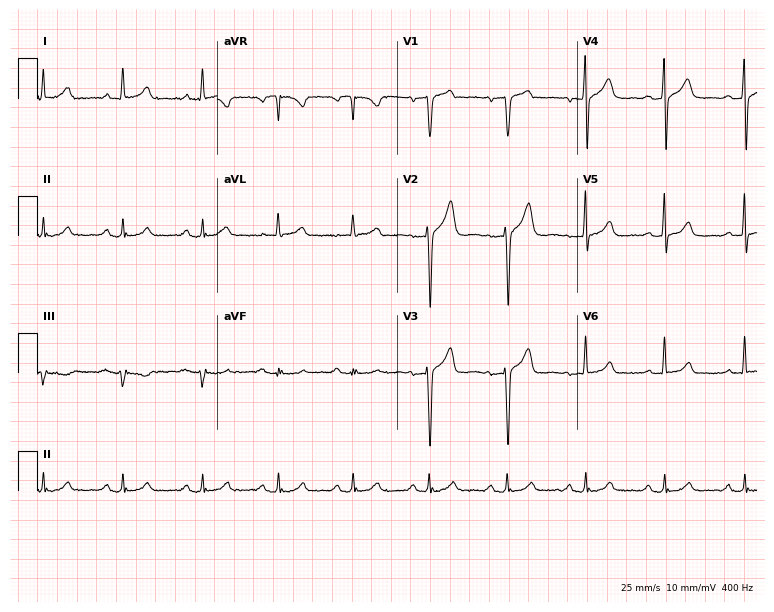
Electrocardiogram, a male, 44 years old. Of the six screened findings (first-degree AV block, right bundle branch block, left bundle branch block, sinus bradycardia, atrial fibrillation, sinus tachycardia), none is recorded.